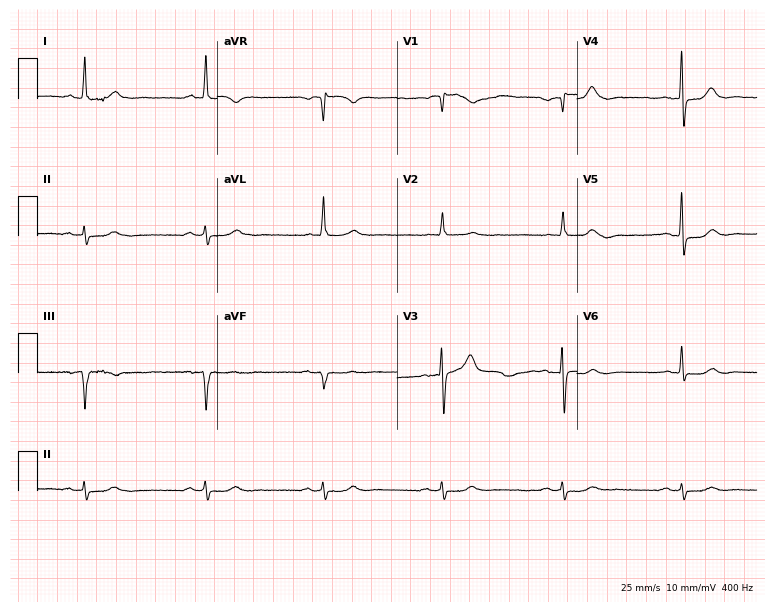
12-lead ECG from a 73-year-old man (7.3-second recording at 400 Hz). Shows sinus bradycardia (a sinus rate of 50 beats per minute or less).